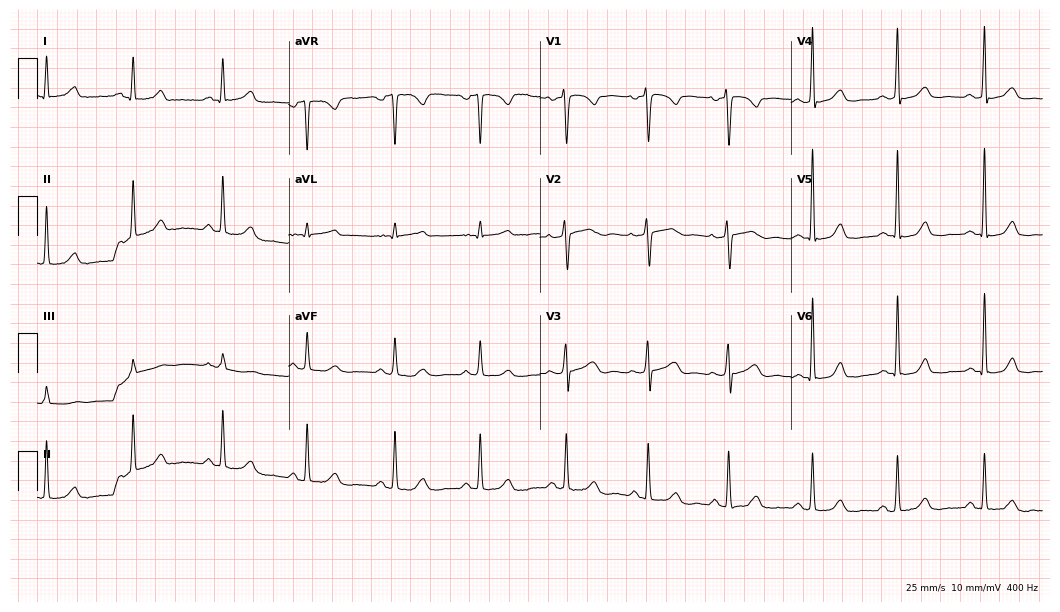
Resting 12-lead electrocardiogram (10.2-second recording at 400 Hz). Patient: a female, 39 years old. Read as a normal ECG.